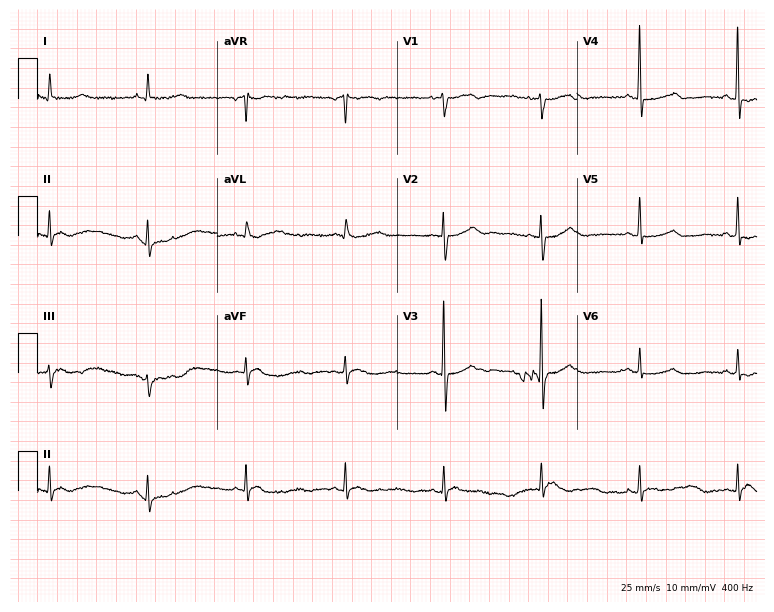
Electrocardiogram (7.3-second recording at 400 Hz), a female, 71 years old. Of the six screened findings (first-degree AV block, right bundle branch block, left bundle branch block, sinus bradycardia, atrial fibrillation, sinus tachycardia), none is recorded.